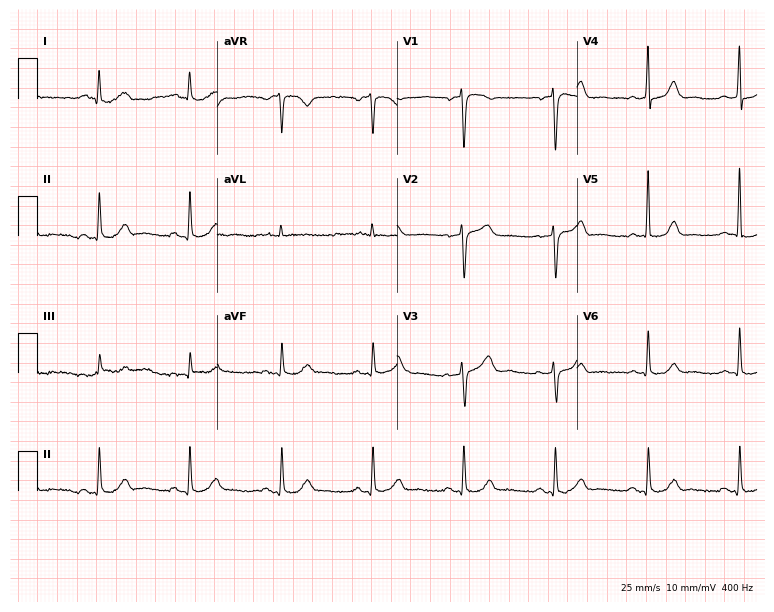
12-lead ECG from a man, 70 years old. Screened for six findings — first-degree AV block, right bundle branch block, left bundle branch block, sinus bradycardia, atrial fibrillation, sinus tachycardia — none is recorded. Other findings, if any, are not listed.